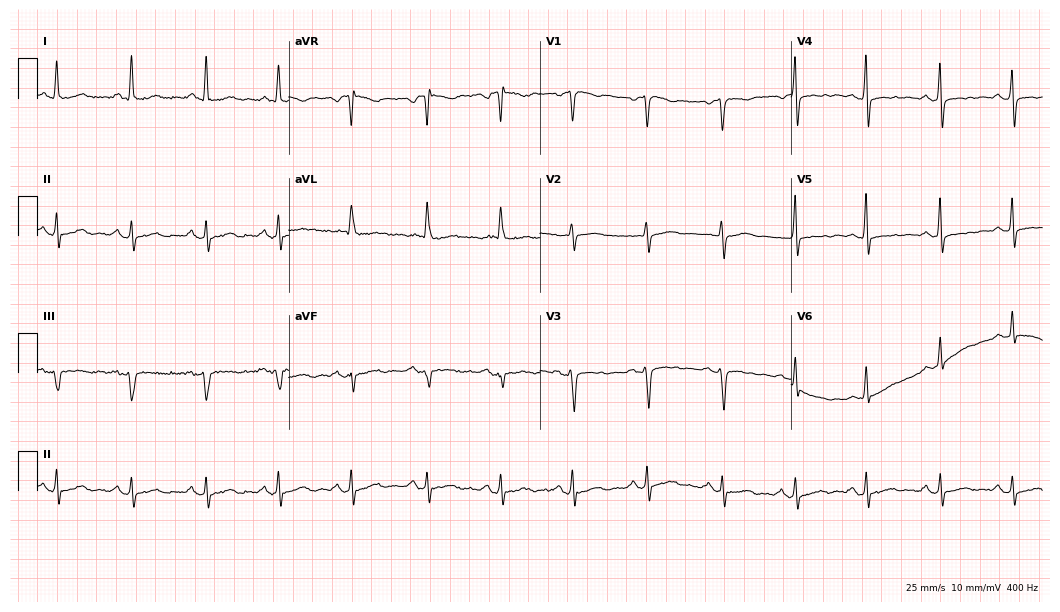
ECG (10.2-second recording at 400 Hz) — a 53-year-old female. Screened for six findings — first-degree AV block, right bundle branch block (RBBB), left bundle branch block (LBBB), sinus bradycardia, atrial fibrillation (AF), sinus tachycardia — none is recorded.